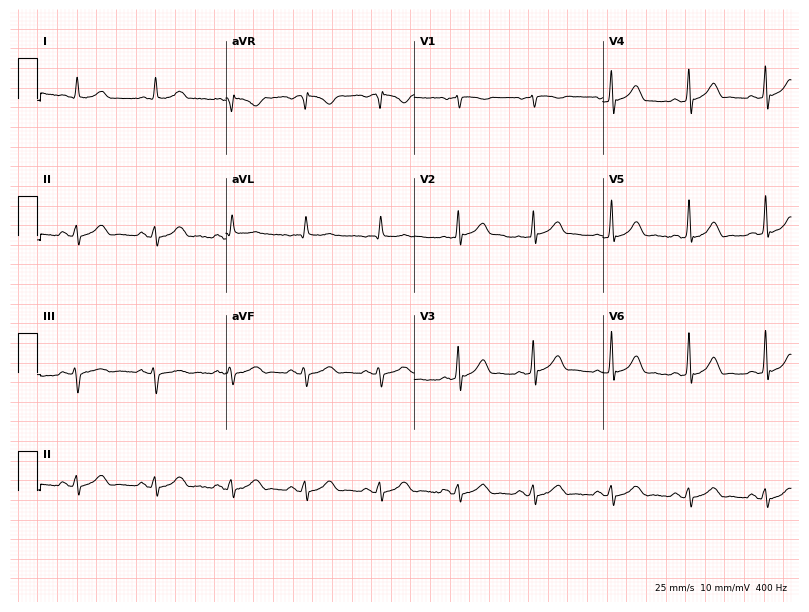
ECG (7.7-second recording at 400 Hz) — a 76-year-old man. Labelled as a normal ECG.